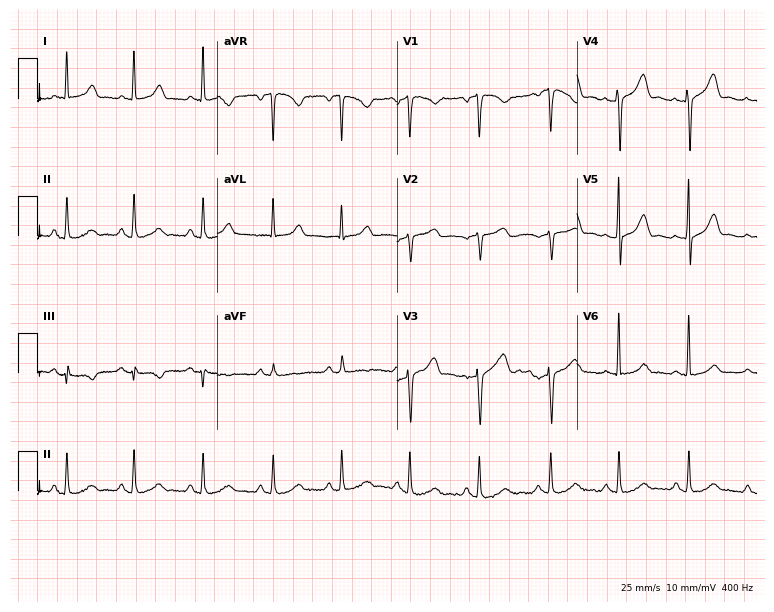
Electrocardiogram, a woman, 39 years old. Overall reading on record: normal ECG.